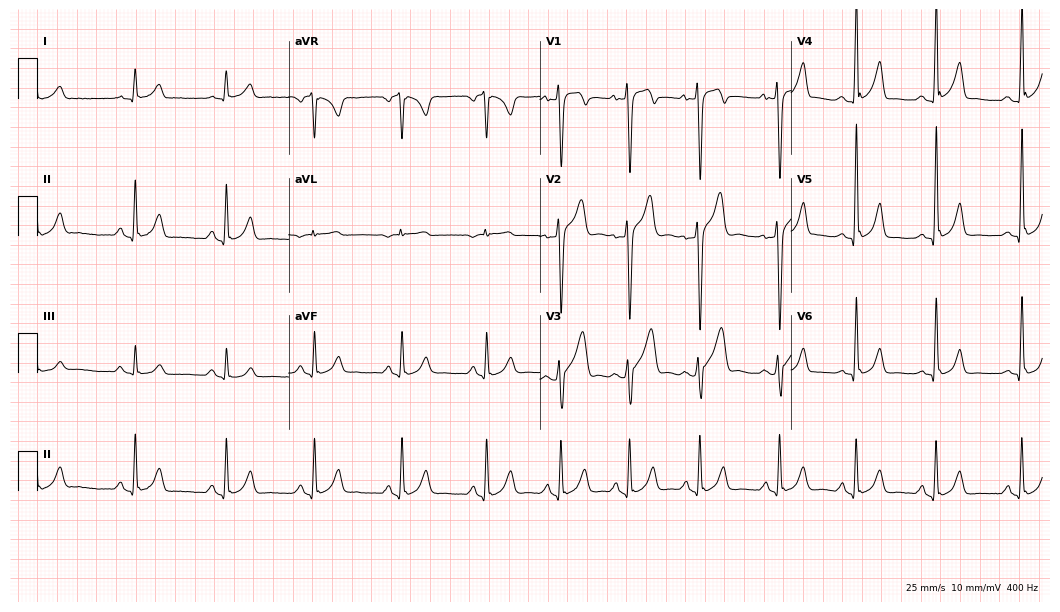
Resting 12-lead electrocardiogram. Patient: a 26-year-old male. None of these six findings is recorded: first-degree AV block, right bundle branch block, left bundle branch block, sinus bradycardia, atrial fibrillation, sinus tachycardia.